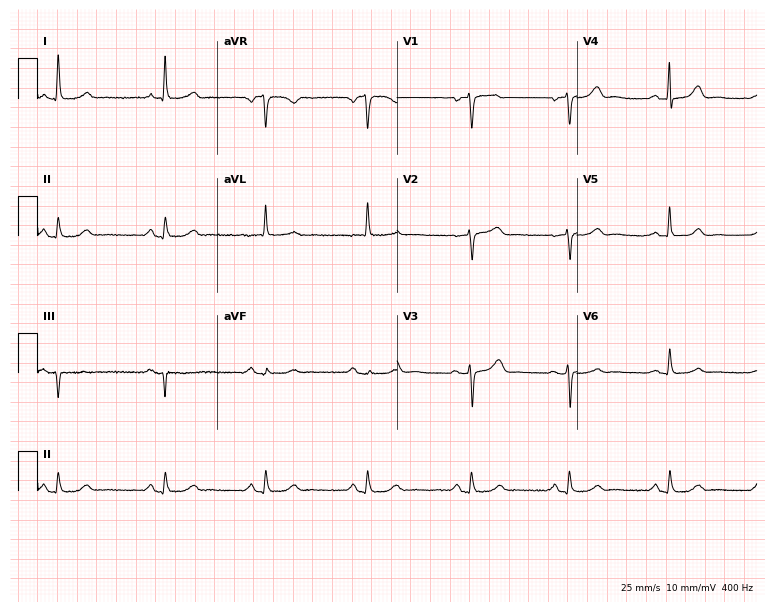
12-lead ECG from a woman, 62 years old (7.3-second recording at 400 Hz). Recorded interpretation: within normal limits.